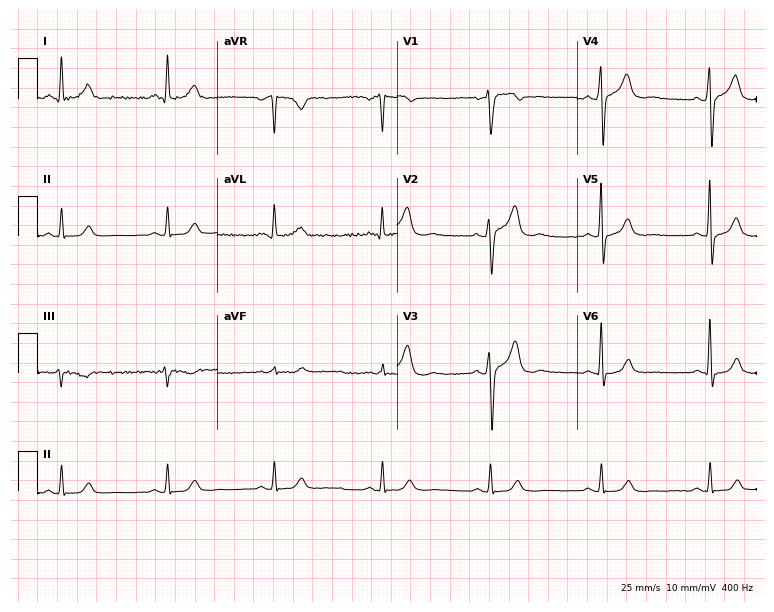
Electrocardiogram (7.3-second recording at 400 Hz), a male, 48 years old. Of the six screened findings (first-degree AV block, right bundle branch block, left bundle branch block, sinus bradycardia, atrial fibrillation, sinus tachycardia), none is recorded.